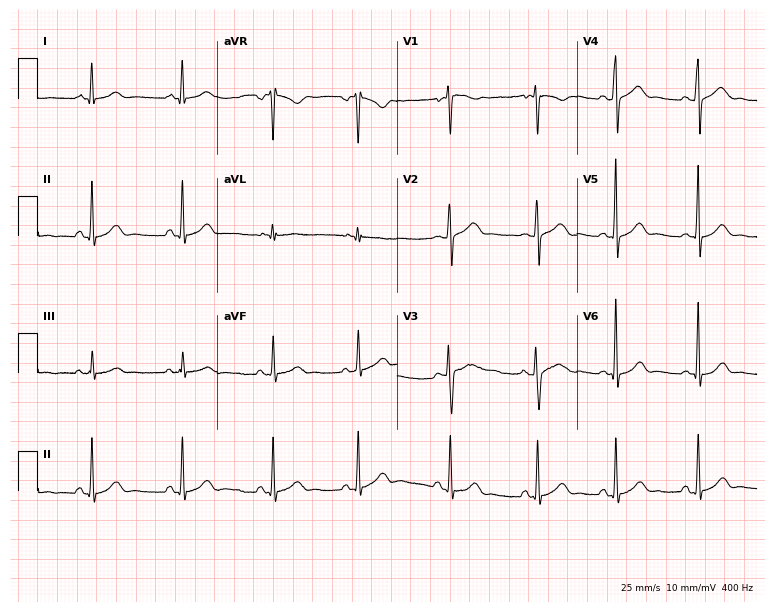
Electrocardiogram, a 23-year-old female. Overall reading on record: normal ECG.